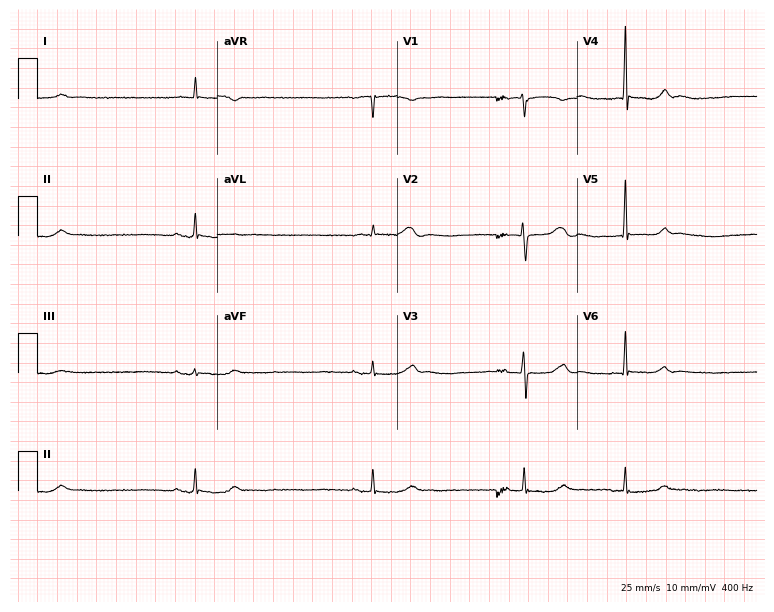
Standard 12-lead ECG recorded from a 66-year-old female. None of these six findings is recorded: first-degree AV block, right bundle branch block (RBBB), left bundle branch block (LBBB), sinus bradycardia, atrial fibrillation (AF), sinus tachycardia. Findings outside these six are not listed.